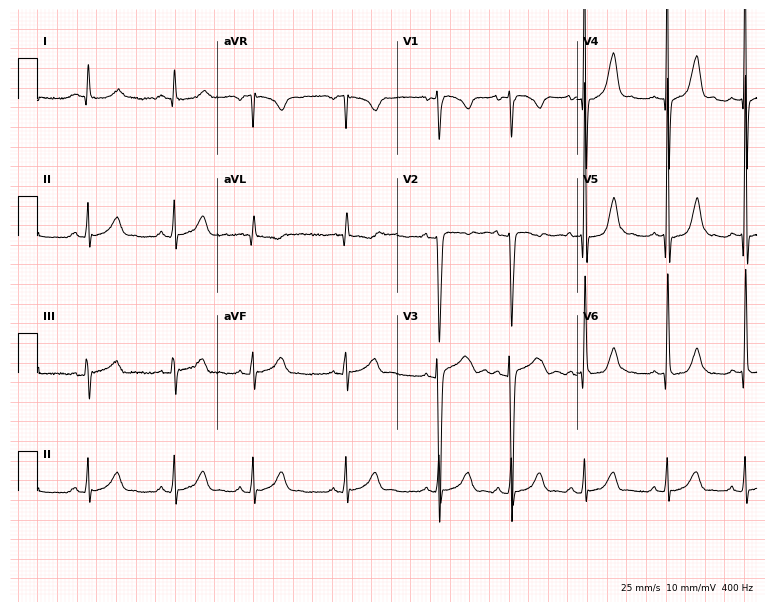
12-lead ECG (7.3-second recording at 400 Hz) from a man, 20 years old. Labelled as a normal ECG.